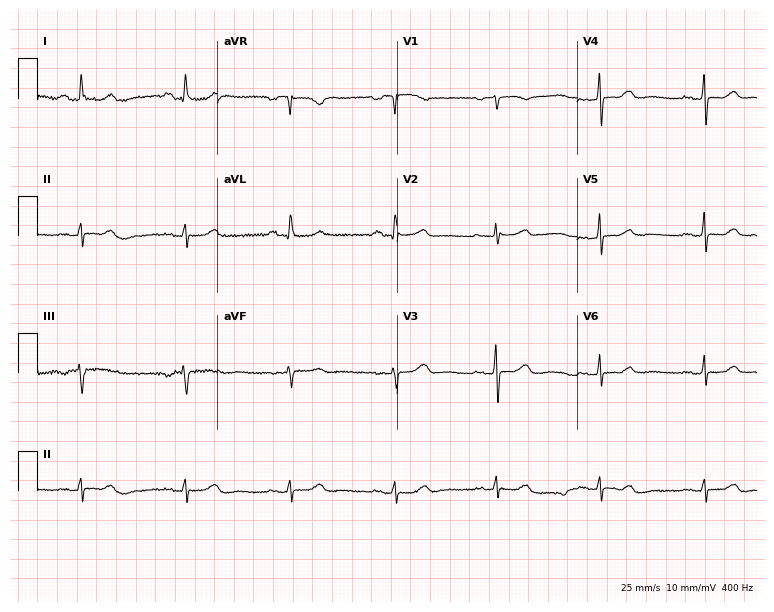
Resting 12-lead electrocardiogram (7.3-second recording at 400 Hz). Patient: a 70-year-old female. Read as a normal ECG.